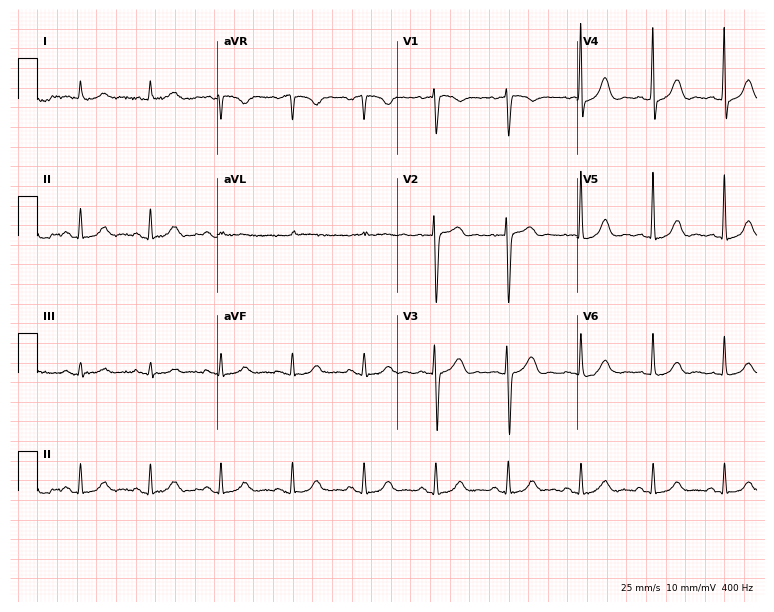
12-lead ECG from a man, 72 years old. Recorded interpretation: within normal limits.